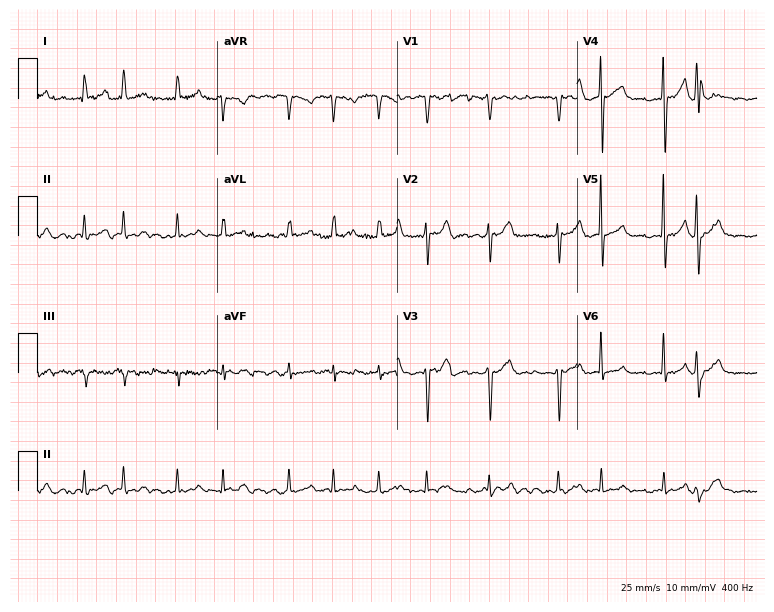
Standard 12-lead ECG recorded from a woman, 64 years old (7.3-second recording at 400 Hz). The tracing shows atrial fibrillation.